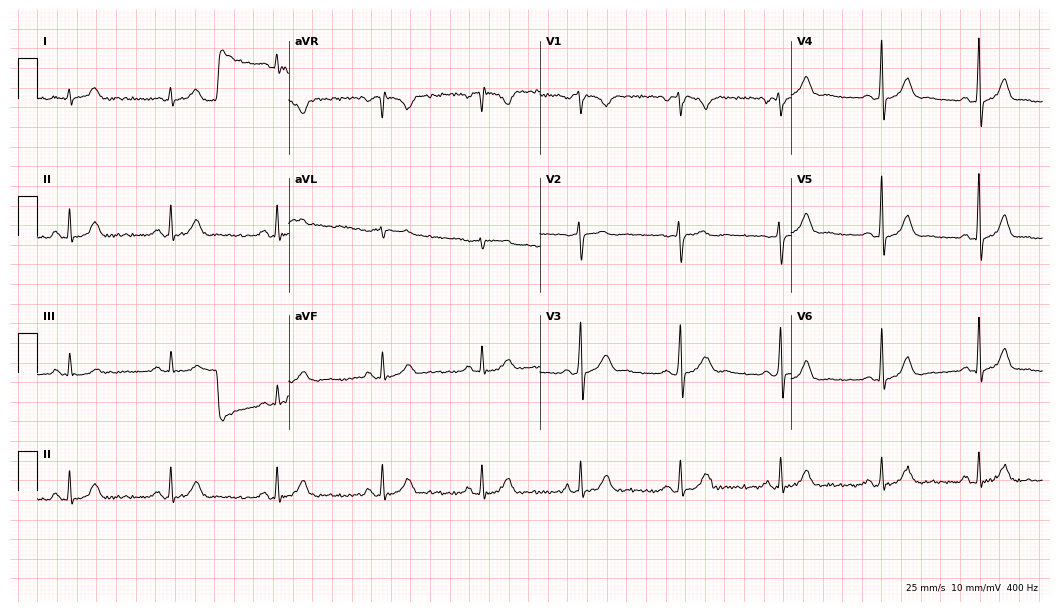
Resting 12-lead electrocardiogram (10.2-second recording at 400 Hz). Patient: a male, 37 years old. Read as a normal ECG.